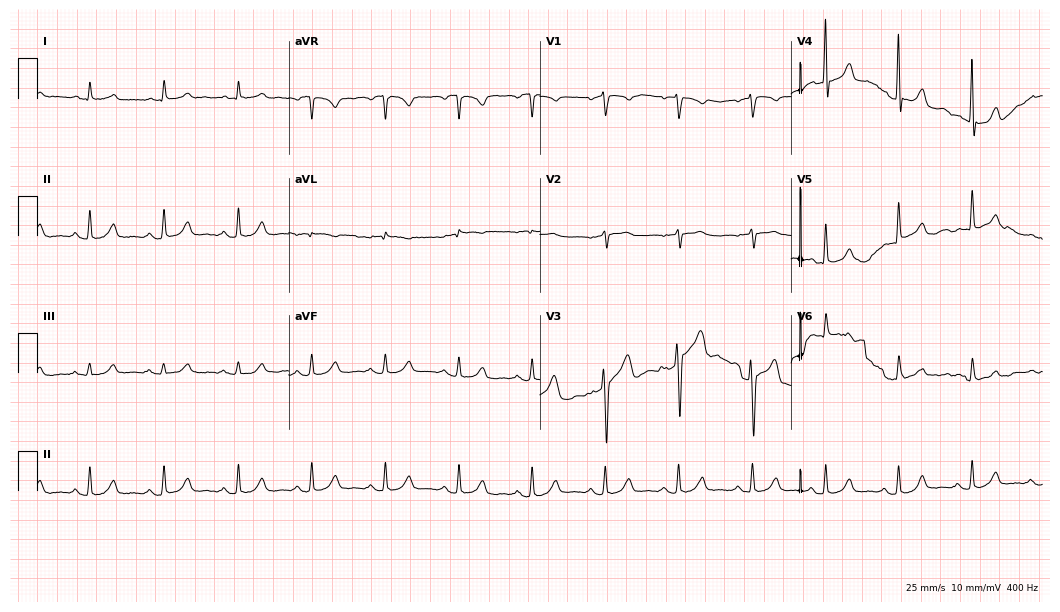
12-lead ECG (10.2-second recording at 400 Hz) from a 66-year-old male patient. Screened for six findings — first-degree AV block, right bundle branch block, left bundle branch block, sinus bradycardia, atrial fibrillation, sinus tachycardia — none is recorded.